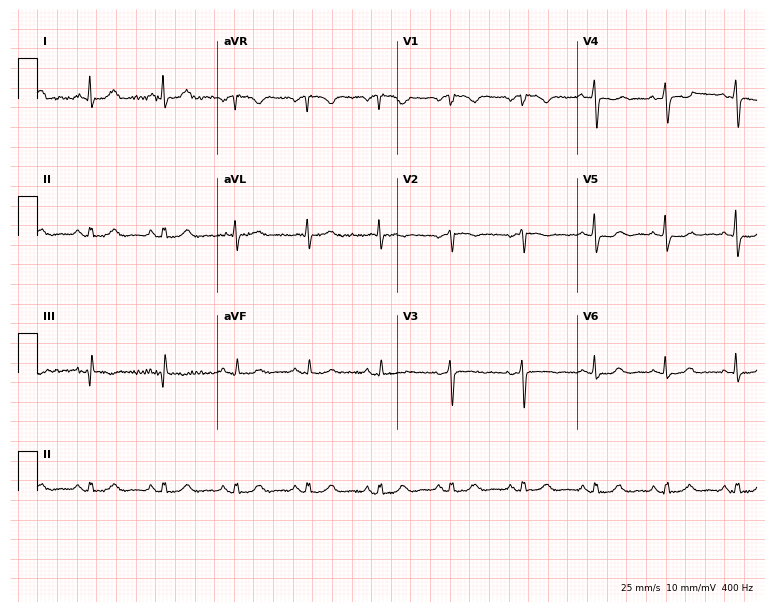
Electrocardiogram, a female patient, 51 years old. Of the six screened findings (first-degree AV block, right bundle branch block, left bundle branch block, sinus bradycardia, atrial fibrillation, sinus tachycardia), none is recorded.